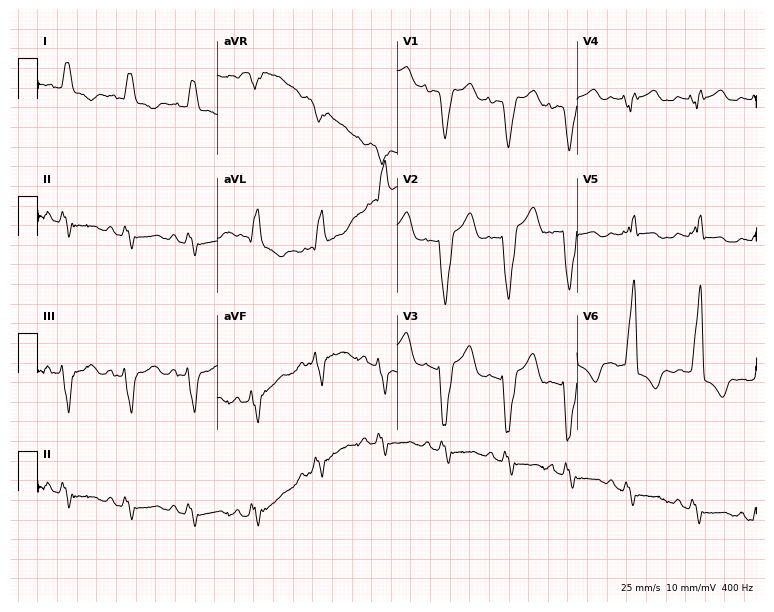
Standard 12-lead ECG recorded from a female patient, 75 years old (7.3-second recording at 400 Hz). None of these six findings is recorded: first-degree AV block, right bundle branch block (RBBB), left bundle branch block (LBBB), sinus bradycardia, atrial fibrillation (AF), sinus tachycardia. Only these six findings were labelled.